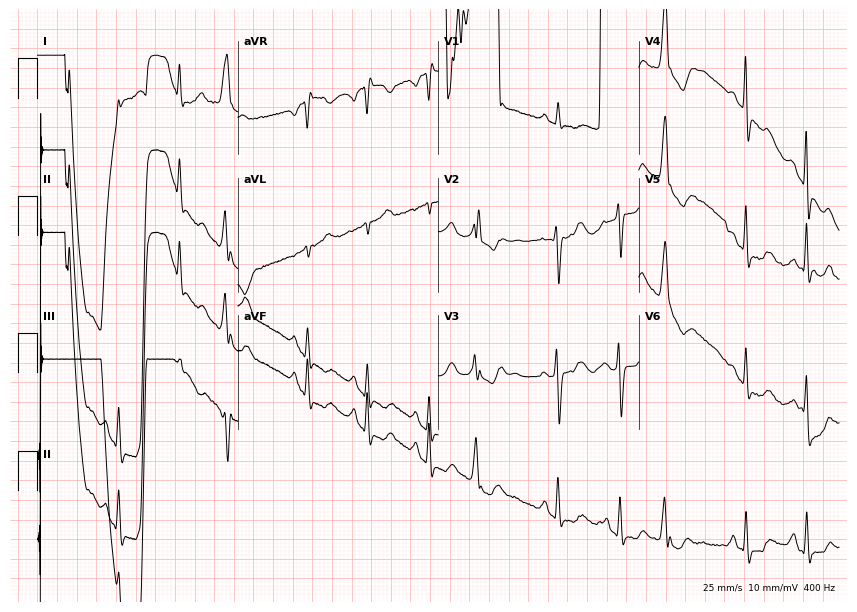
Standard 12-lead ECG recorded from a 75-year-old female (8.2-second recording at 400 Hz). None of these six findings is recorded: first-degree AV block, right bundle branch block, left bundle branch block, sinus bradycardia, atrial fibrillation, sinus tachycardia. Only these six findings were labelled.